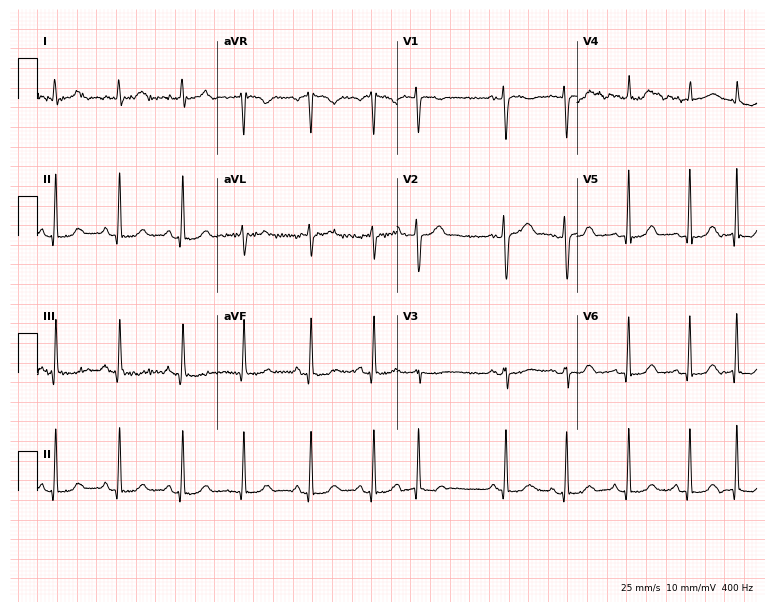
12-lead ECG from a woman, 37 years old. Screened for six findings — first-degree AV block, right bundle branch block, left bundle branch block, sinus bradycardia, atrial fibrillation, sinus tachycardia — none is recorded.